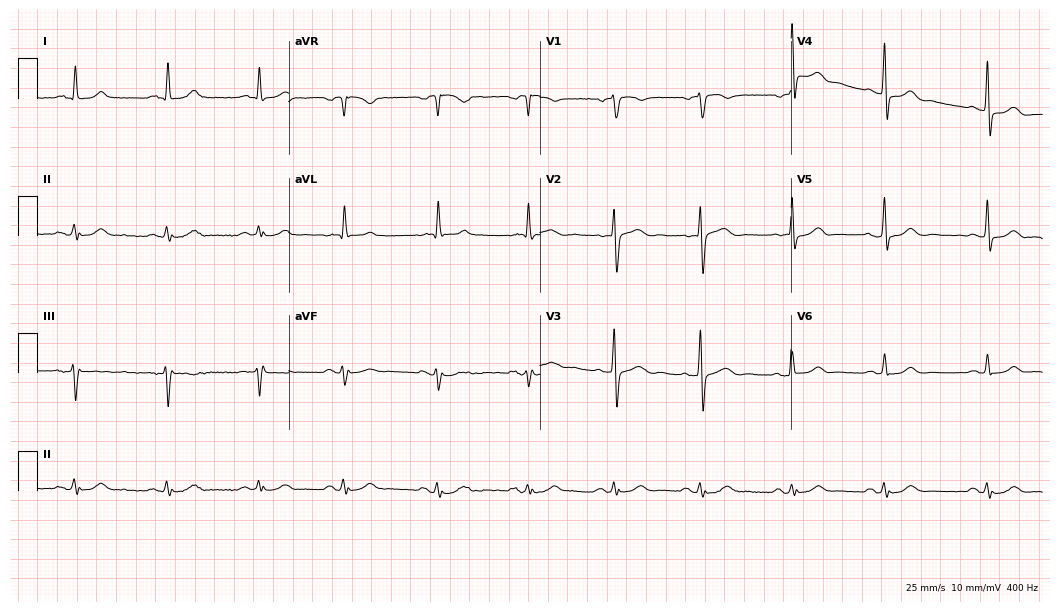
12-lead ECG (10.2-second recording at 400 Hz) from a 67-year-old male patient. Labelled as a normal ECG.